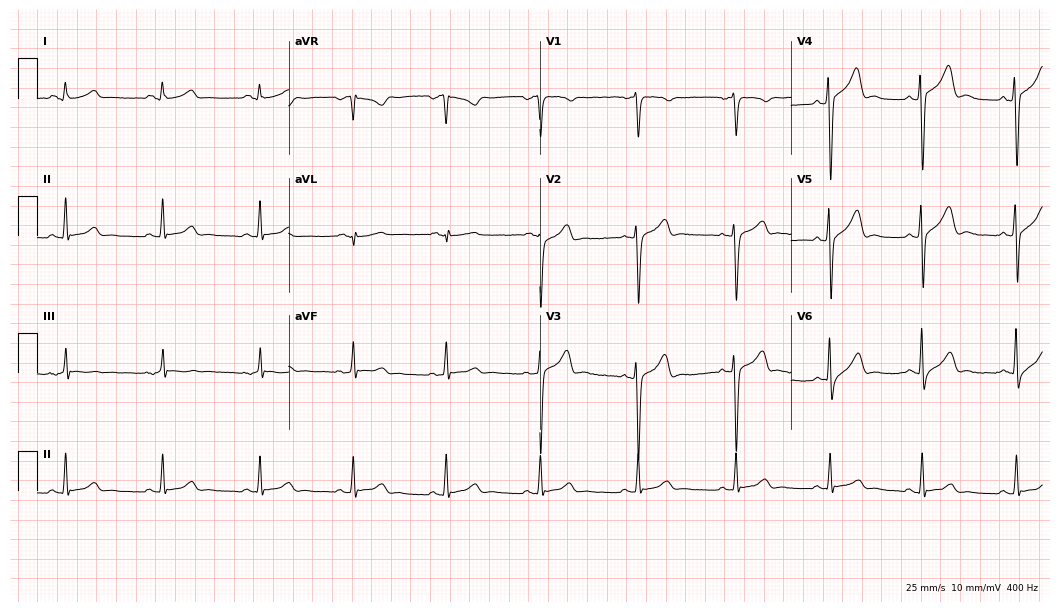
12-lead ECG from a 42-year-old man (10.2-second recording at 400 Hz). No first-degree AV block, right bundle branch block, left bundle branch block, sinus bradycardia, atrial fibrillation or sinus tachycardia recorded for this tracing. Only these six findings were labelled.